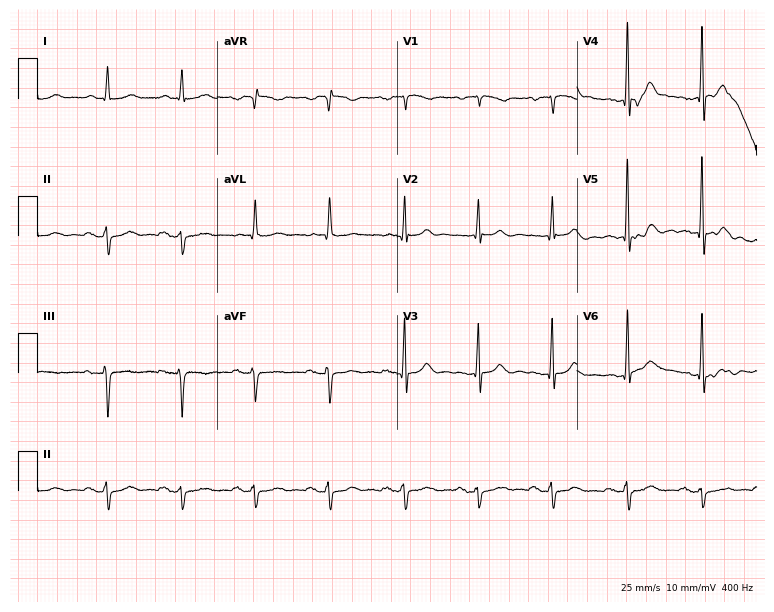
Electrocardiogram, a woman, 77 years old. Of the six screened findings (first-degree AV block, right bundle branch block, left bundle branch block, sinus bradycardia, atrial fibrillation, sinus tachycardia), none is recorded.